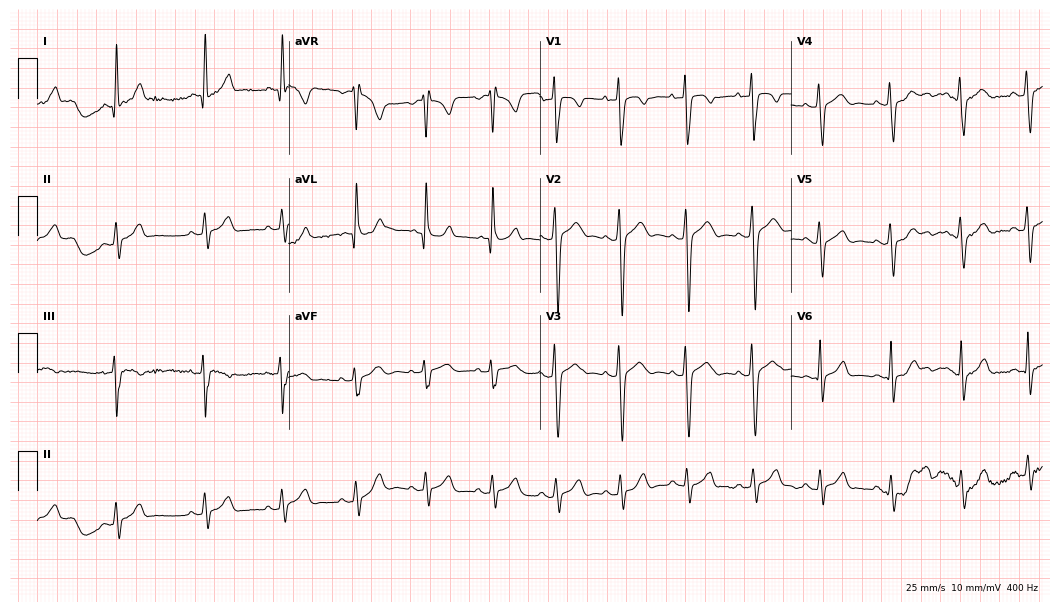
Standard 12-lead ECG recorded from a 19-year-old male (10.2-second recording at 400 Hz). Read as a normal ECG.